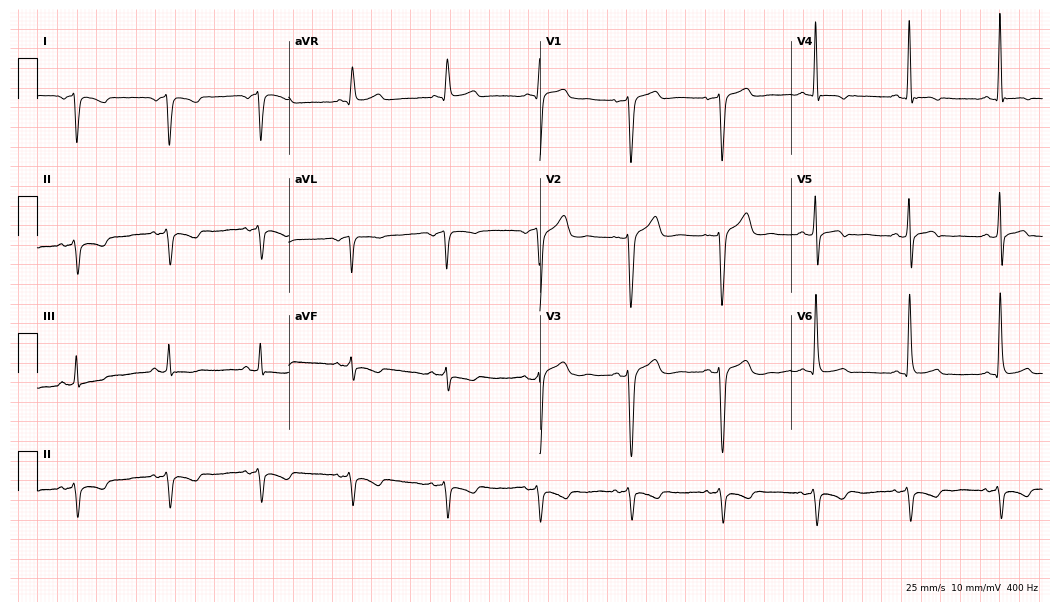
Resting 12-lead electrocardiogram. Patient: a male, 57 years old. None of these six findings is recorded: first-degree AV block, right bundle branch block, left bundle branch block, sinus bradycardia, atrial fibrillation, sinus tachycardia. Only these six findings were labelled.